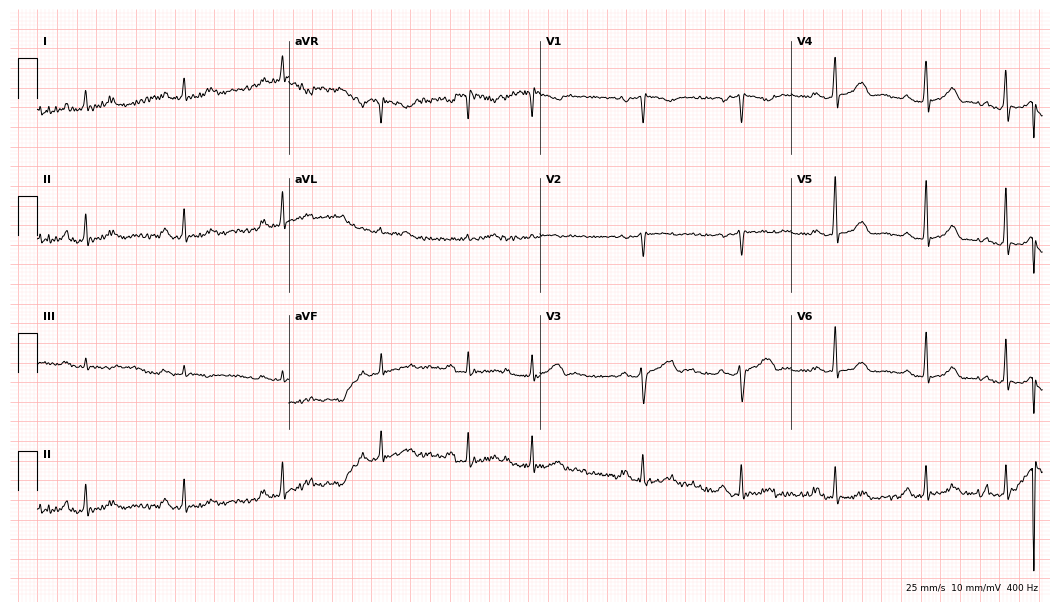
12-lead ECG from a female, 36 years old. No first-degree AV block, right bundle branch block, left bundle branch block, sinus bradycardia, atrial fibrillation or sinus tachycardia recorded for this tracing.